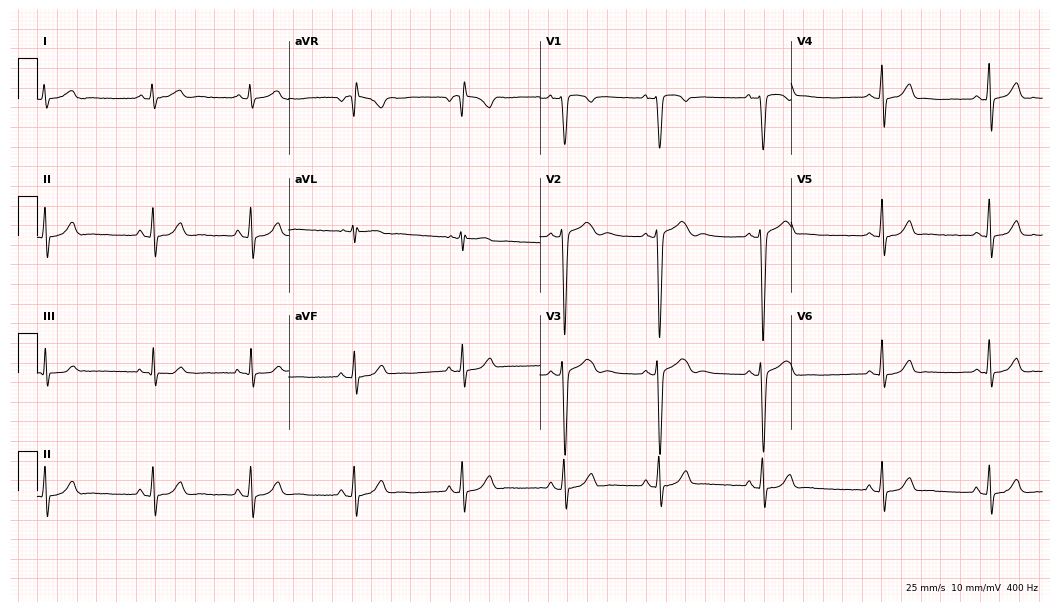
Standard 12-lead ECG recorded from a woman, 23 years old (10.2-second recording at 400 Hz). Read as a normal ECG.